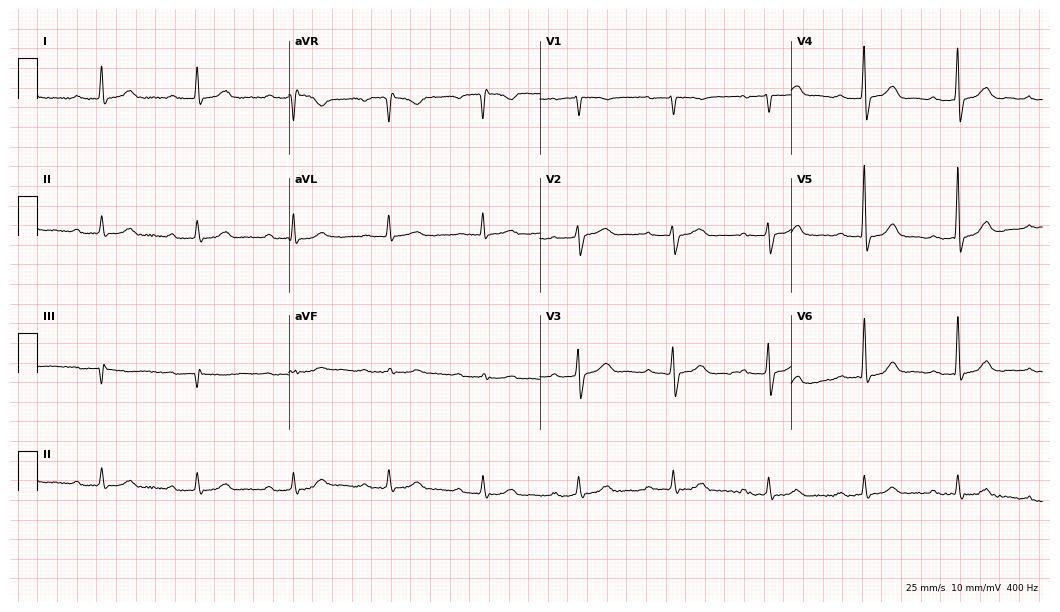
12-lead ECG (10.2-second recording at 400 Hz) from a male, 67 years old. Findings include first-degree AV block.